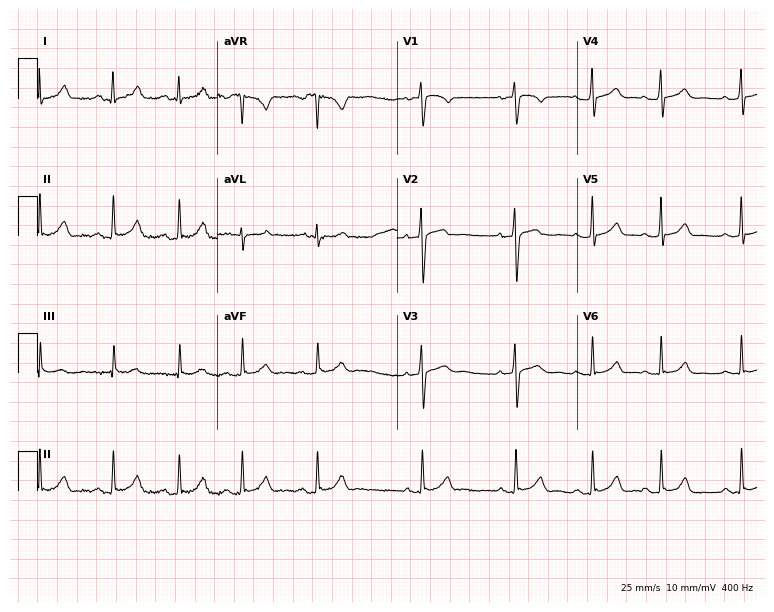
Resting 12-lead electrocardiogram (7.3-second recording at 400 Hz). Patient: a 24-year-old female. Read as a normal ECG.